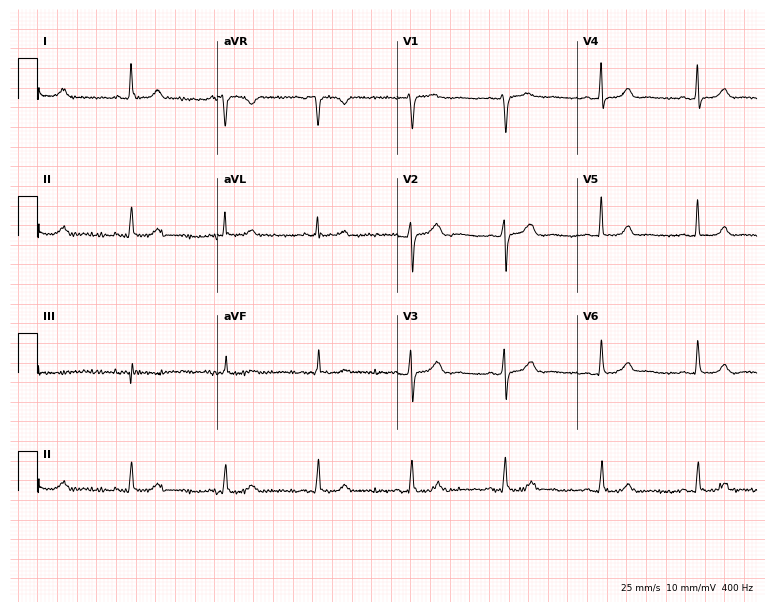
12-lead ECG from a 71-year-old female patient (7.3-second recording at 400 Hz). Recorded interpretation: within normal limits.